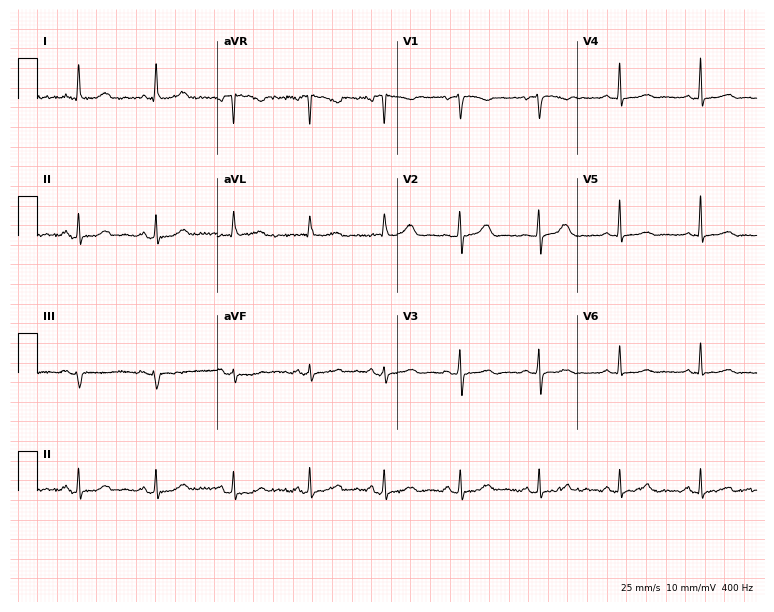
Electrocardiogram, a female patient, 61 years old. Of the six screened findings (first-degree AV block, right bundle branch block, left bundle branch block, sinus bradycardia, atrial fibrillation, sinus tachycardia), none is recorded. Only these six findings were labelled.